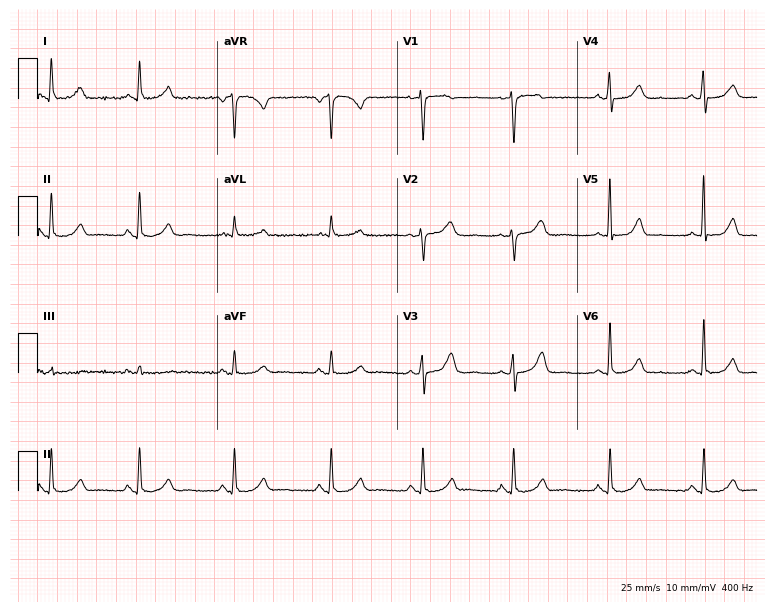
12-lead ECG from a 51-year-old female. Labelled as a normal ECG.